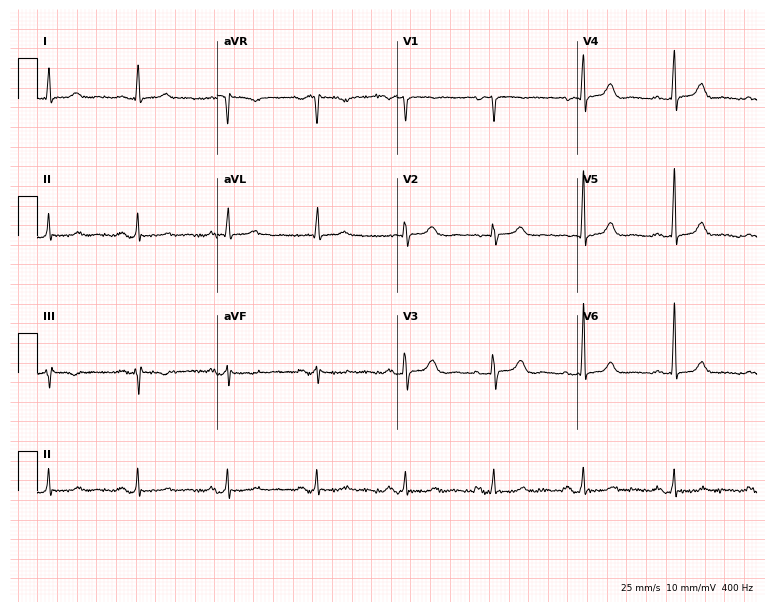
12-lead ECG (7.3-second recording at 400 Hz) from a 75-year-old female. Screened for six findings — first-degree AV block, right bundle branch block, left bundle branch block, sinus bradycardia, atrial fibrillation, sinus tachycardia — none is recorded. Findings outside these six are not listed.